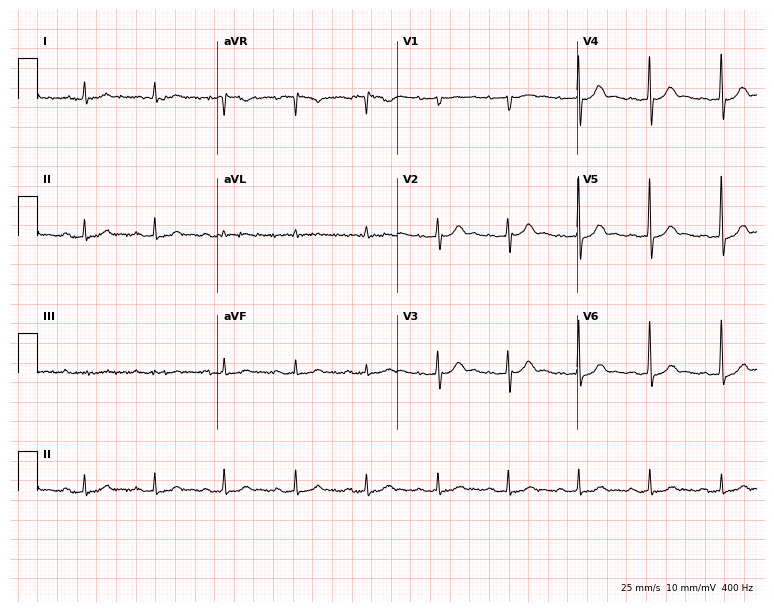
12-lead ECG (7.3-second recording at 400 Hz) from a male, 82 years old. Screened for six findings — first-degree AV block, right bundle branch block (RBBB), left bundle branch block (LBBB), sinus bradycardia, atrial fibrillation (AF), sinus tachycardia — none is recorded.